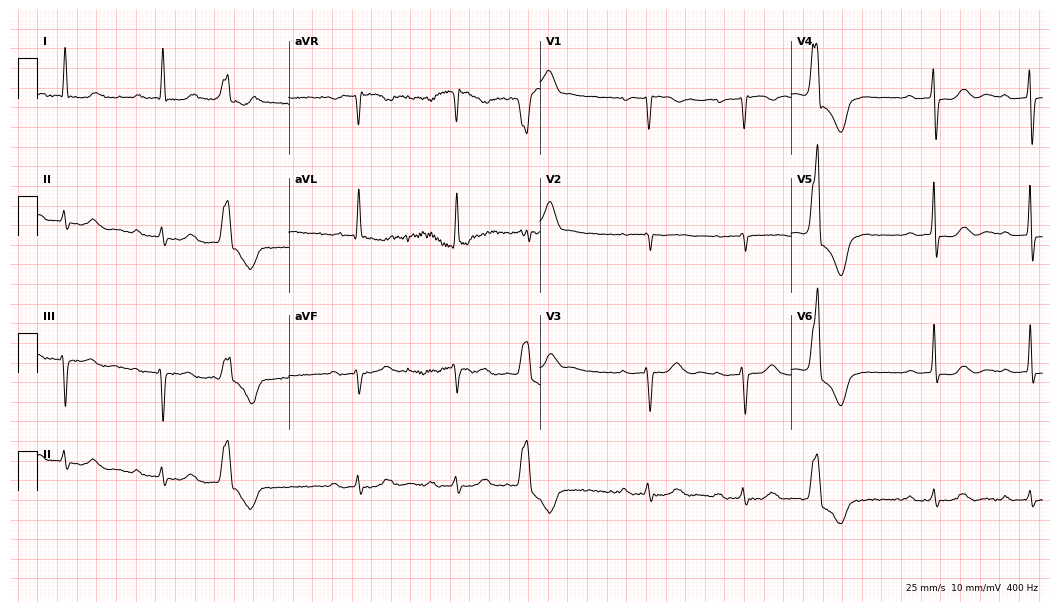
Resting 12-lead electrocardiogram. Patient: an 84-year-old male. The tracing shows first-degree AV block.